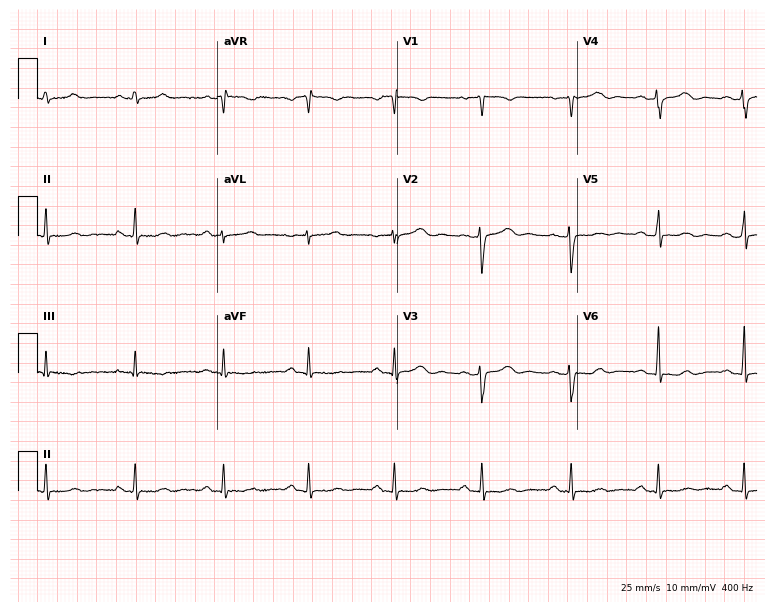
12-lead ECG from a 38-year-old woman (7.3-second recording at 400 Hz). No first-degree AV block, right bundle branch block, left bundle branch block, sinus bradycardia, atrial fibrillation or sinus tachycardia recorded for this tracing.